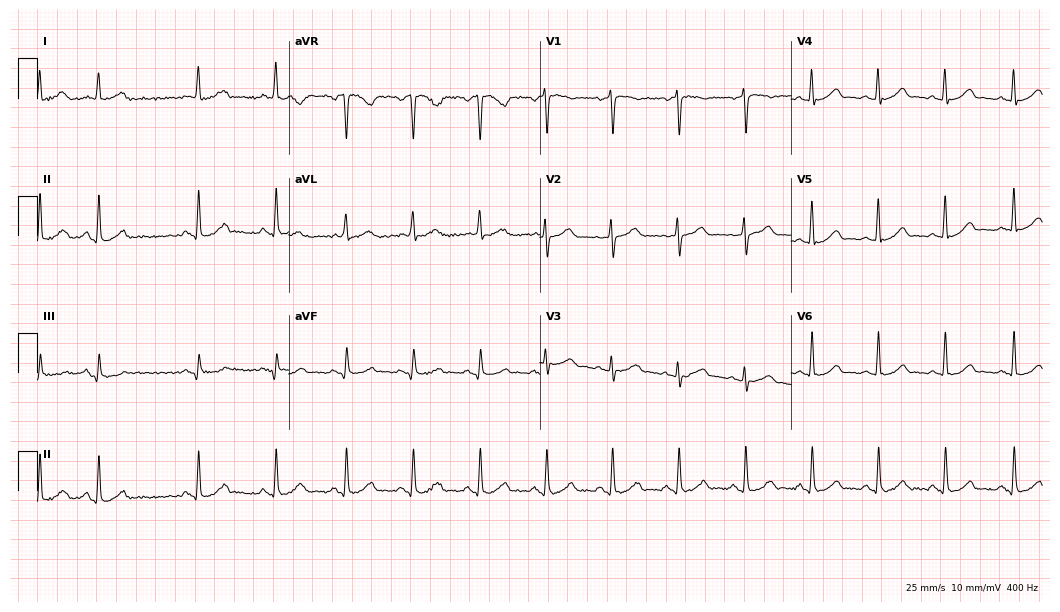
Electrocardiogram (10.2-second recording at 400 Hz), a 50-year-old woman. Overall reading on record: normal ECG.